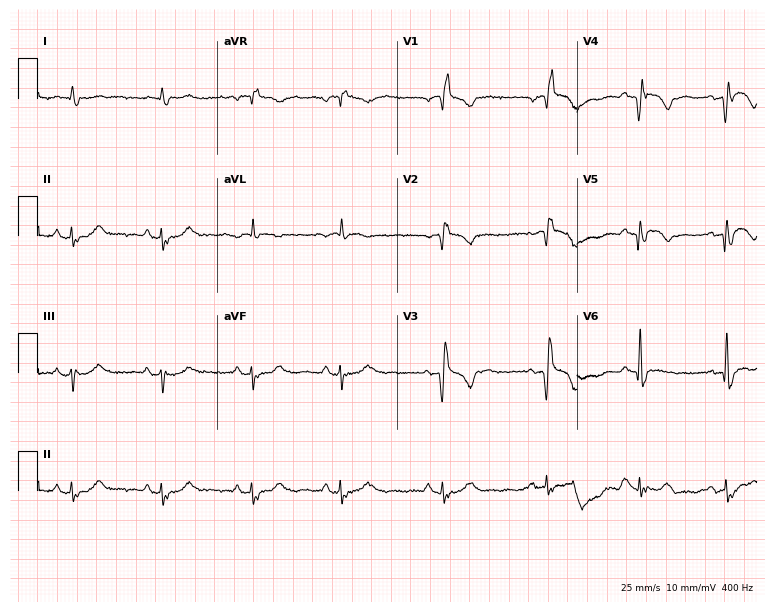
Electrocardiogram, an 84-year-old male. Of the six screened findings (first-degree AV block, right bundle branch block, left bundle branch block, sinus bradycardia, atrial fibrillation, sinus tachycardia), none is recorded. Findings outside these six are not listed.